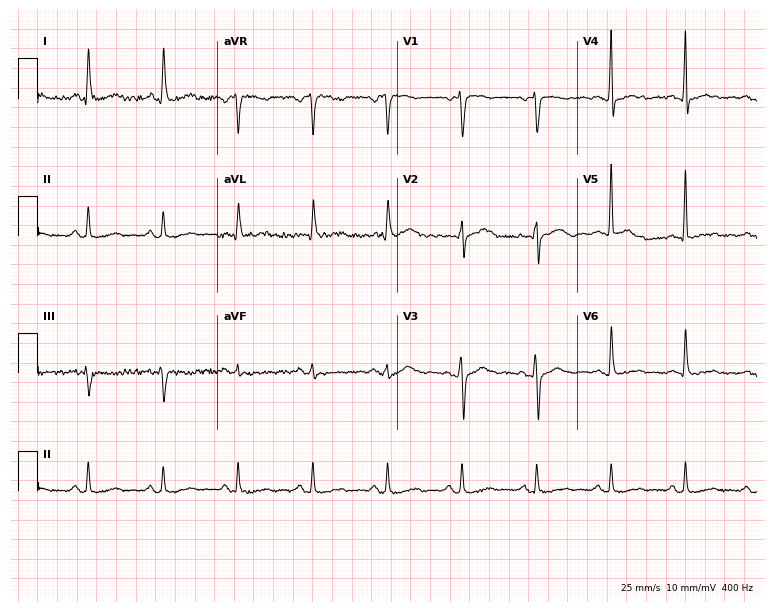
Standard 12-lead ECG recorded from a 61-year-old man. Read as a normal ECG.